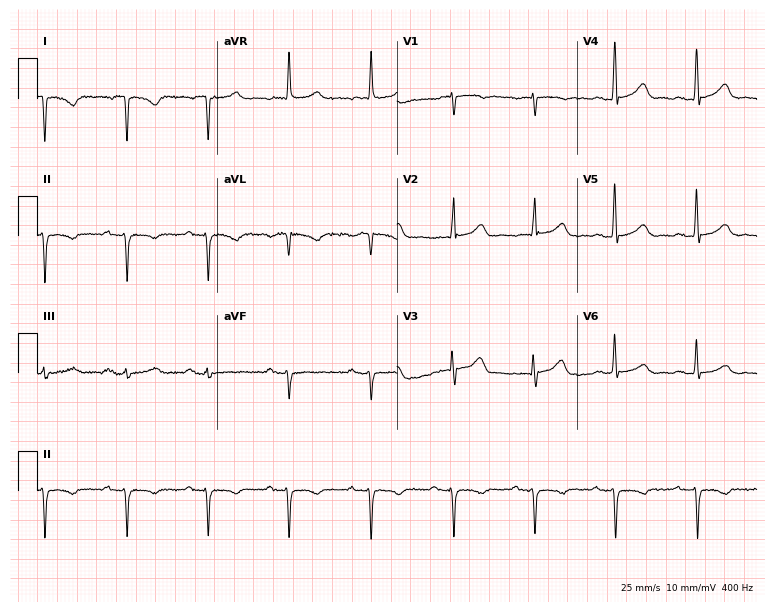
12-lead ECG (7.3-second recording at 400 Hz) from an 81-year-old female. Screened for six findings — first-degree AV block, right bundle branch block, left bundle branch block, sinus bradycardia, atrial fibrillation, sinus tachycardia — none is recorded.